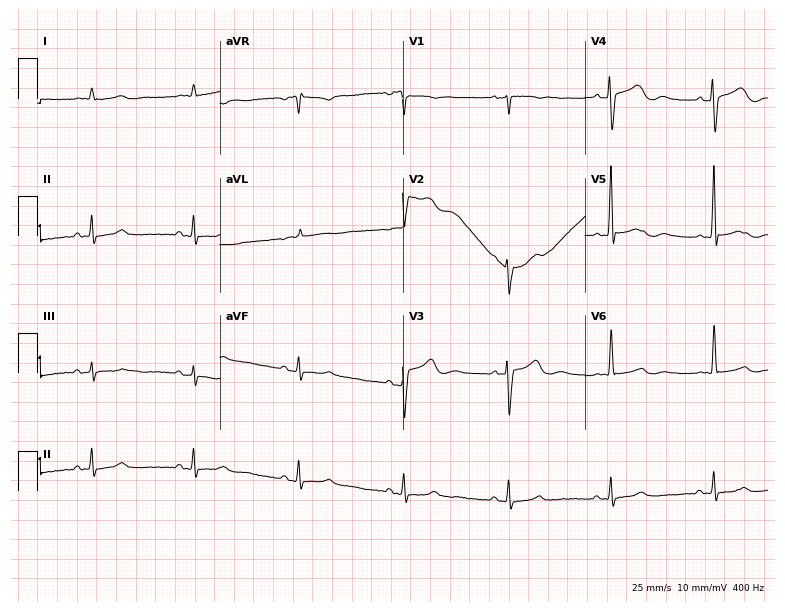
12-lead ECG from a woman, 75 years old. Screened for six findings — first-degree AV block, right bundle branch block (RBBB), left bundle branch block (LBBB), sinus bradycardia, atrial fibrillation (AF), sinus tachycardia — none is recorded. Other findings, if any, are not listed.